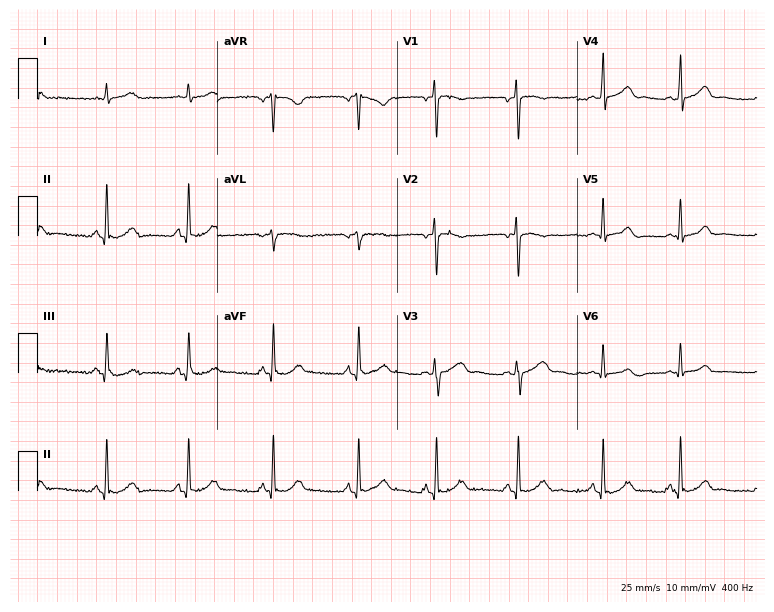
Standard 12-lead ECG recorded from a 30-year-old woman. Read as a normal ECG.